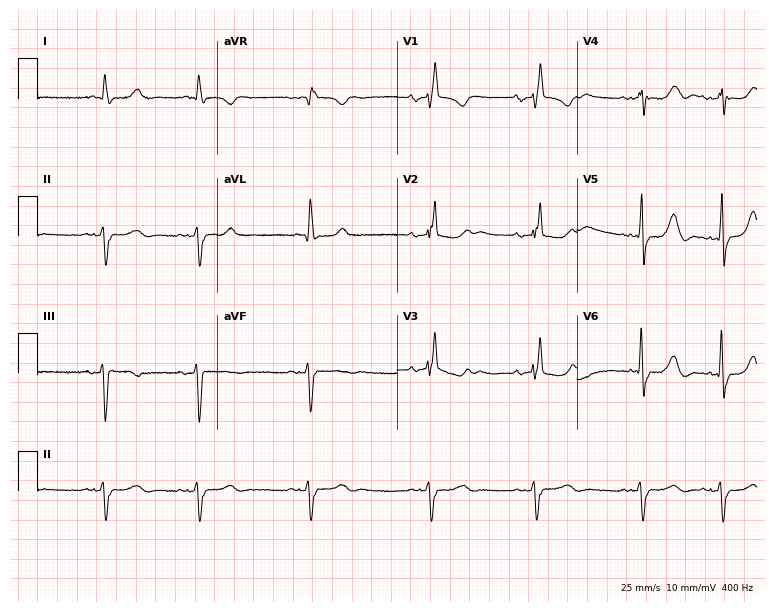
12-lead ECG from a woman, 83 years old (7.3-second recording at 400 Hz). Shows right bundle branch block (RBBB).